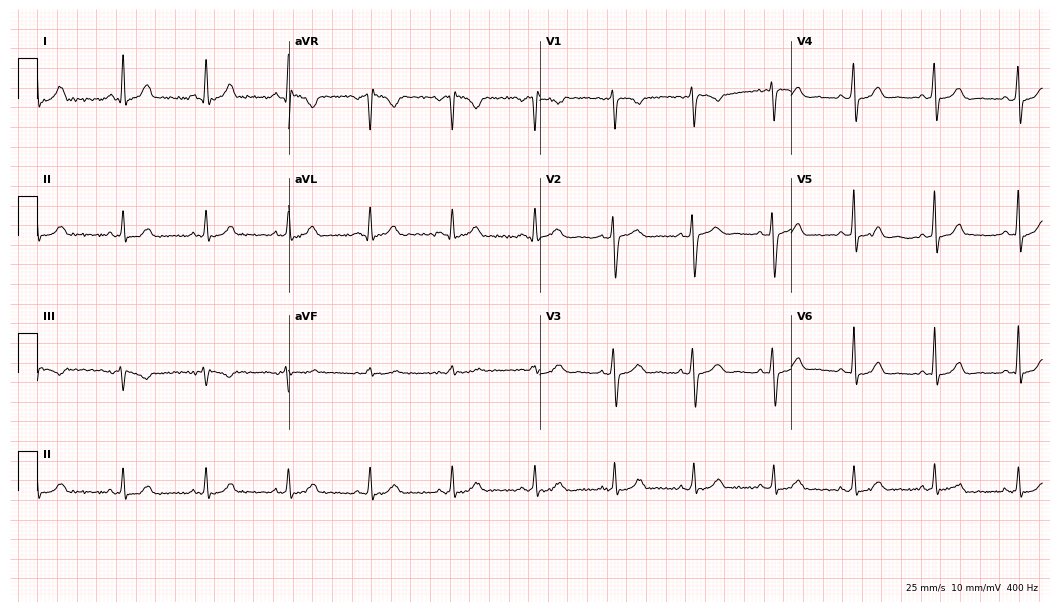
Resting 12-lead electrocardiogram (10.2-second recording at 400 Hz). Patient: a 39-year-old female. Read as a normal ECG.